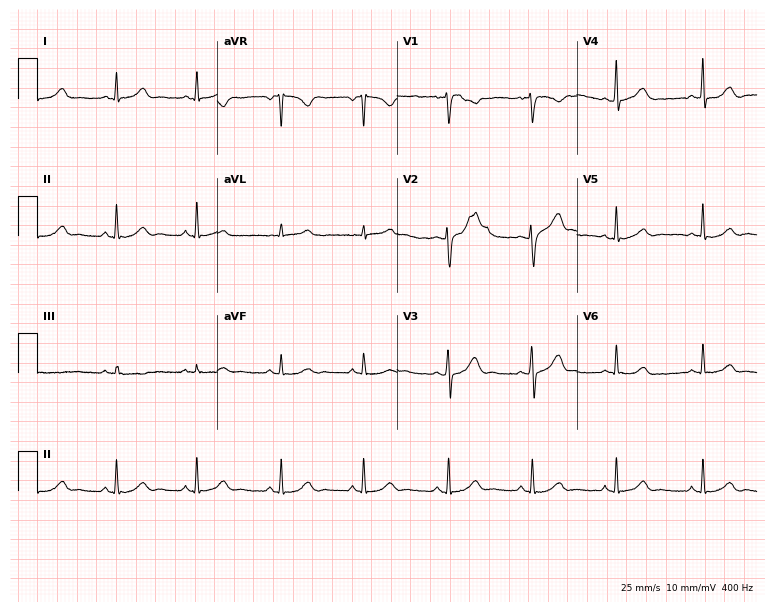
12-lead ECG from a woman, 34 years old. Recorded interpretation: within normal limits.